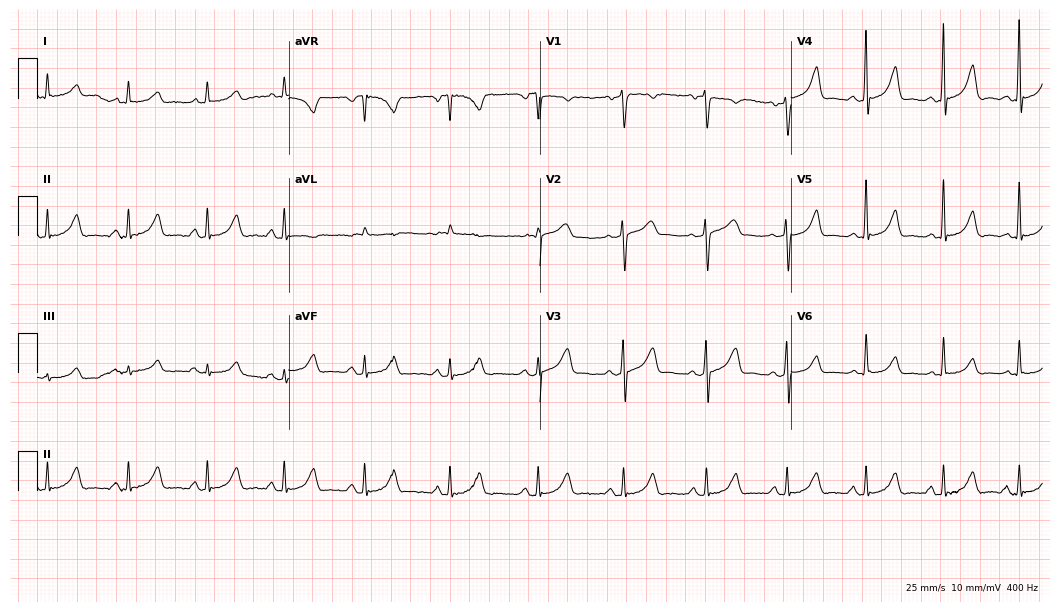
Electrocardiogram (10.2-second recording at 400 Hz), a female patient, 55 years old. Overall reading on record: normal ECG.